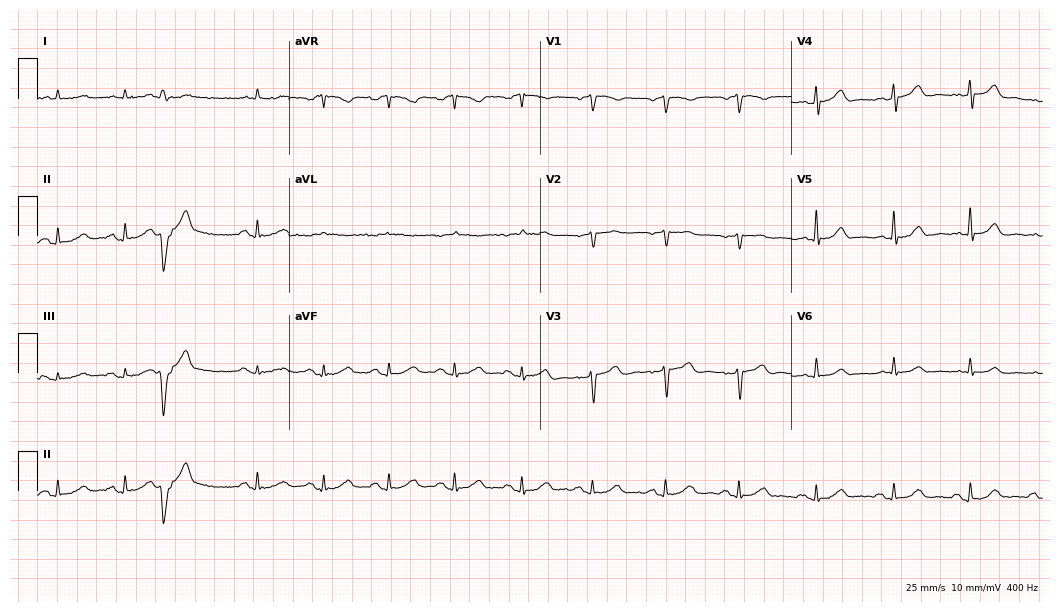
Electrocardiogram, a male patient, 73 years old. Of the six screened findings (first-degree AV block, right bundle branch block, left bundle branch block, sinus bradycardia, atrial fibrillation, sinus tachycardia), none is recorded.